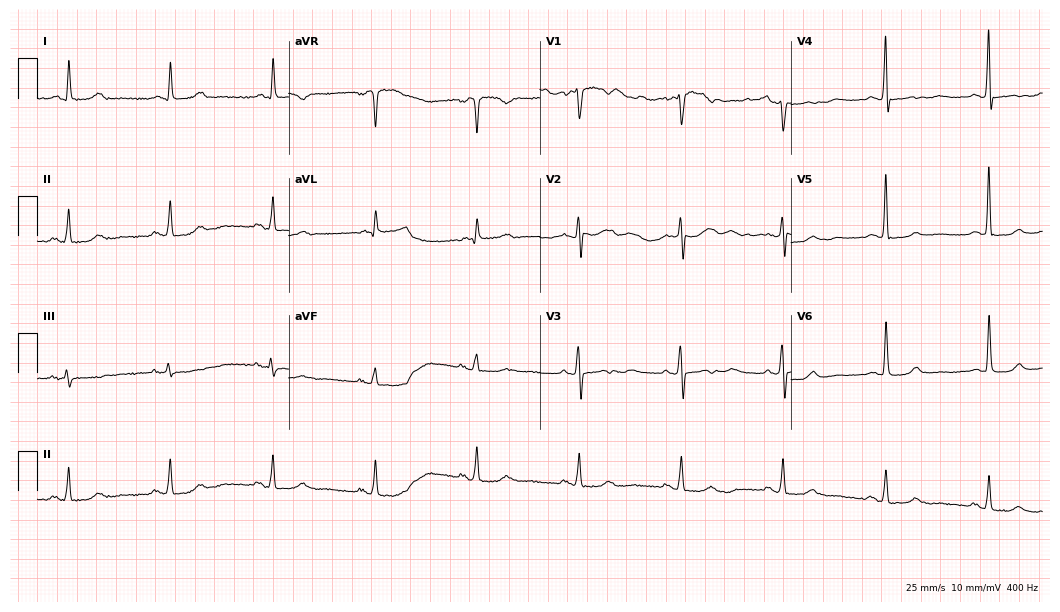
Resting 12-lead electrocardiogram. Patient: a female, 71 years old. Read as a normal ECG.